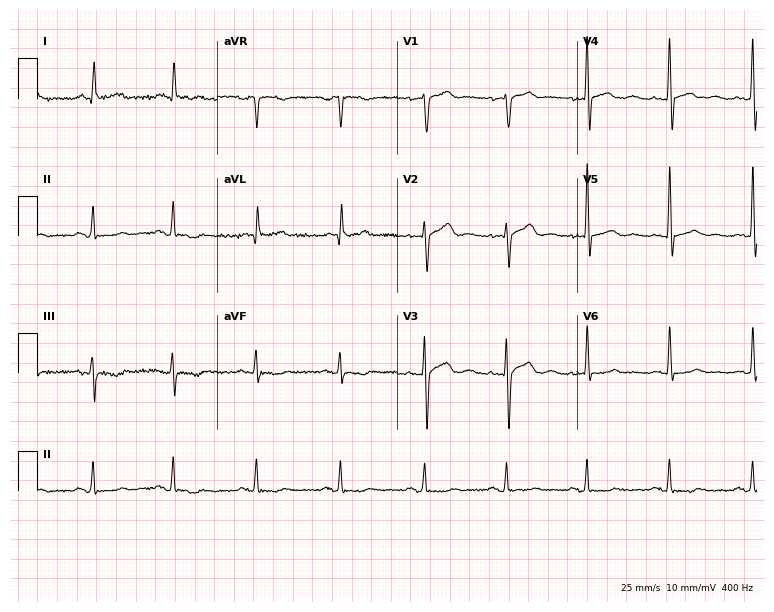
Resting 12-lead electrocardiogram (7.3-second recording at 400 Hz). Patient: a female, 52 years old. None of these six findings is recorded: first-degree AV block, right bundle branch block, left bundle branch block, sinus bradycardia, atrial fibrillation, sinus tachycardia. Other findings, if any, are not listed.